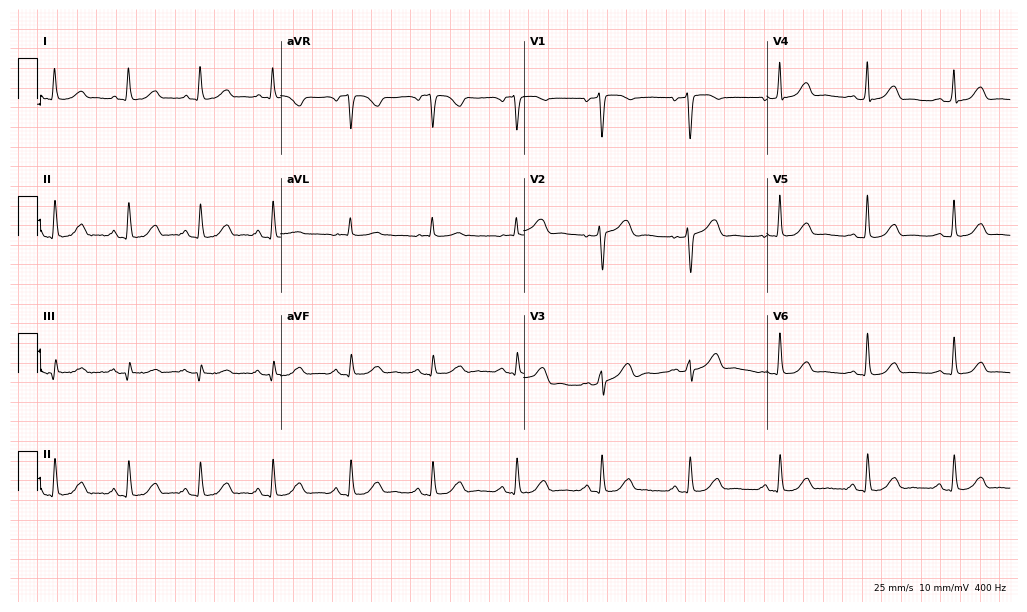
Electrocardiogram (9.9-second recording at 400 Hz), a woman, 56 years old. Overall reading on record: normal ECG.